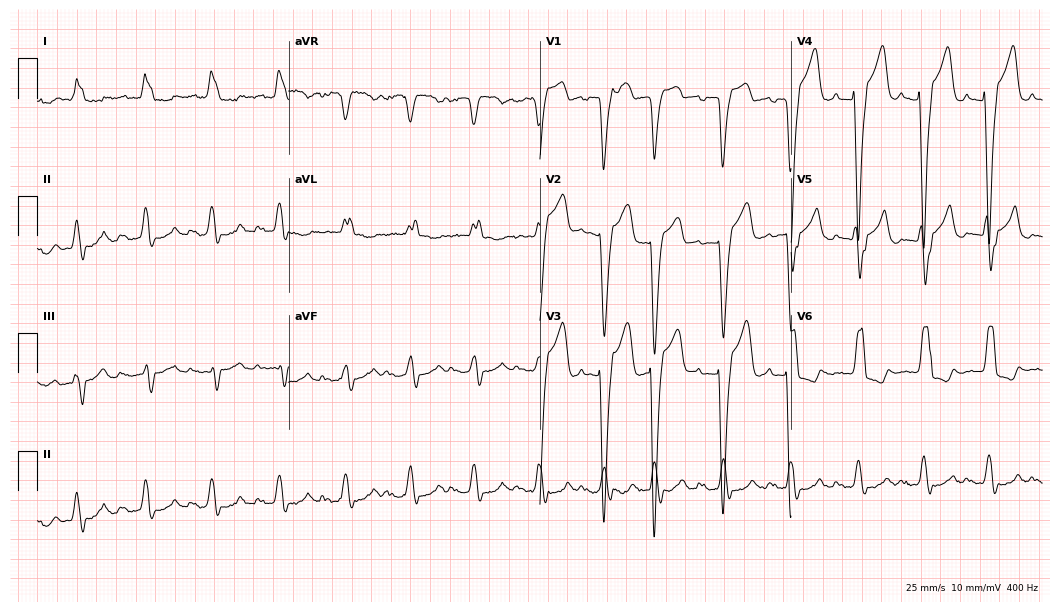
Electrocardiogram, a female, 82 years old. Interpretation includes left bundle branch block.